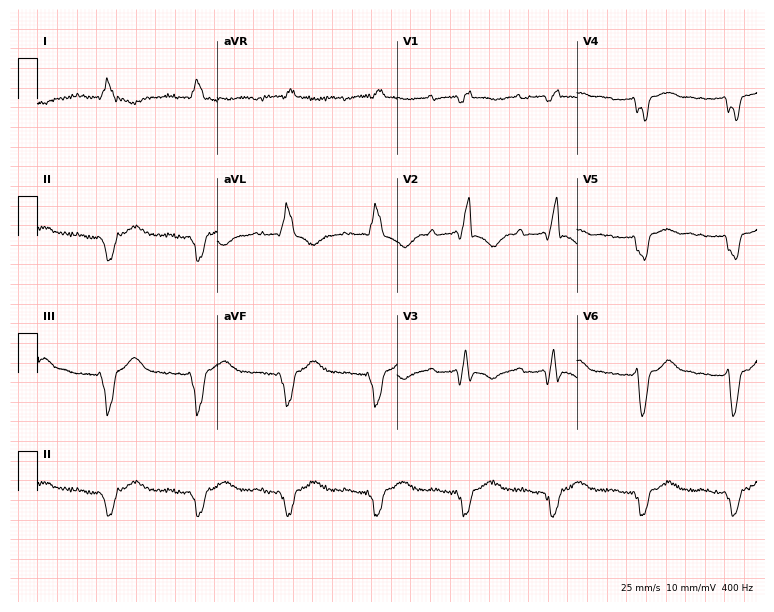
Standard 12-lead ECG recorded from a male, 39 years old. The tracing shows first-degree AV block, right bundle branch block.